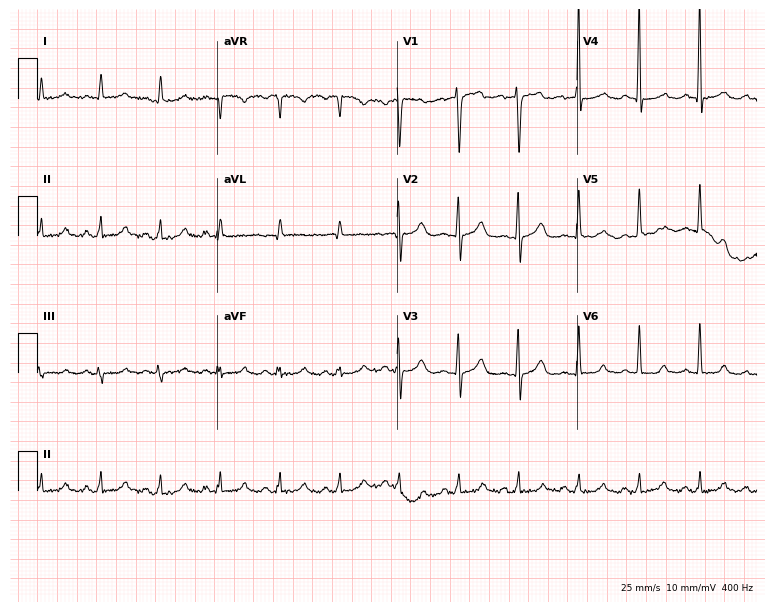
12-lead ECG from a man, 30 years old. Screened for six findings — first-degree AV block, right bundle branch block (RBBB), left bundle branch block (LBBB), sinus bradycardia, atrial fibrillation (AF), sinus tachycardia — none is recorded. Only these six findings were labelled.